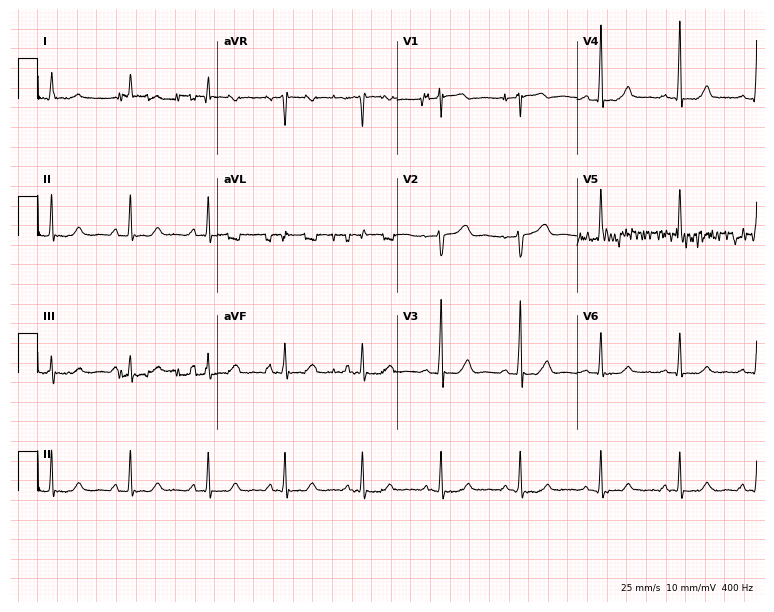
ECG — a female, 46 years old. Labelled as a normal ECG.